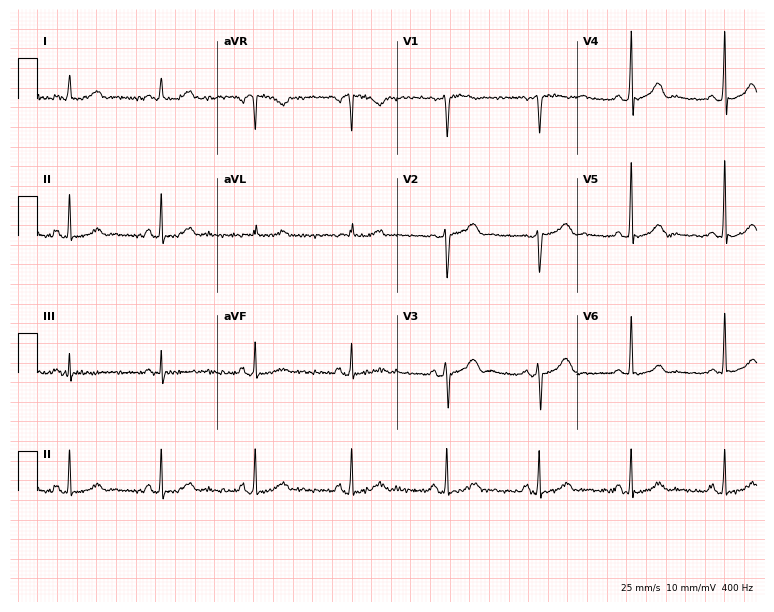
12-lead ECG from a female patient, 65 years old. No first-degree AV block, right bundle branch block (RBBB), left bundle branch block (LBBB), sinus bradycardia, atrial fibrillation (AF) or sinus tachycardia recorded for this tracing. Only these six findings were labelled.